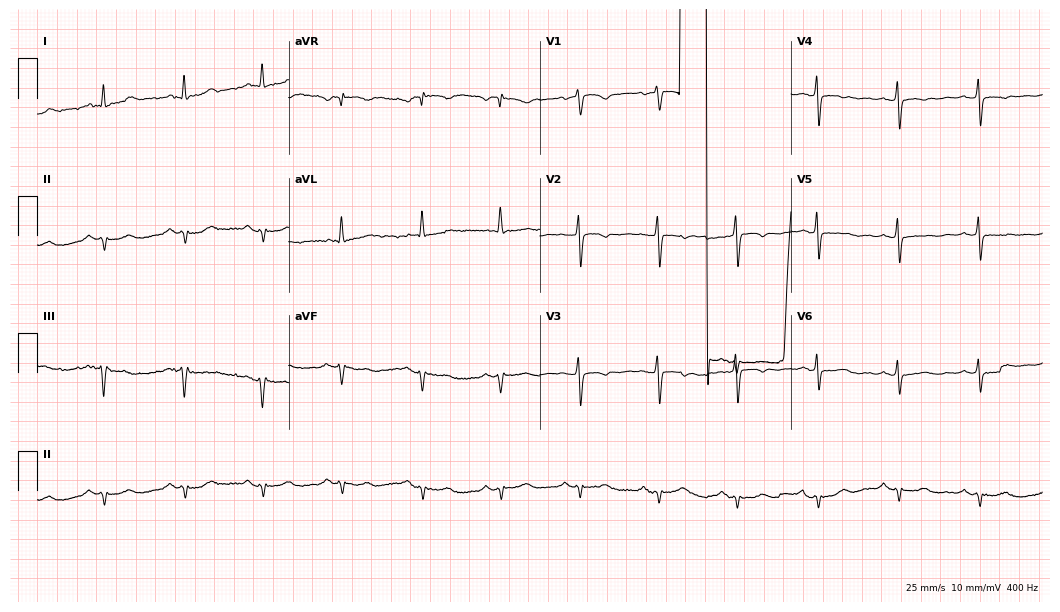
ECG (10.2-second recording at 400 Hz) — a female patient, 70 years old. Screened for six findings — first-degree AV block, right bundle branch block (RBBB), left bundle branch block (LBBB), sinus bradycardia, atrial fibrillation (AF), sinus tachycardia — none is recorded.